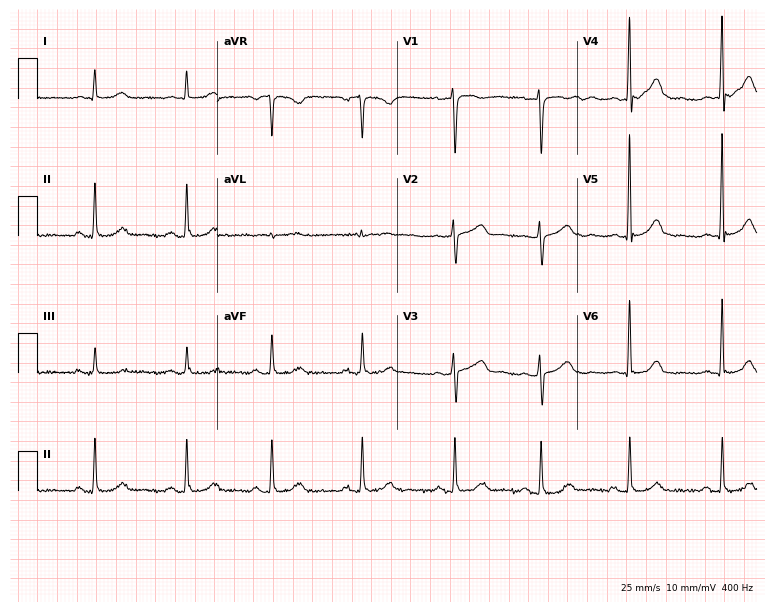
Standard 12-lead ECG recorded from a woman, 62 years old. Read as a normal ECG.